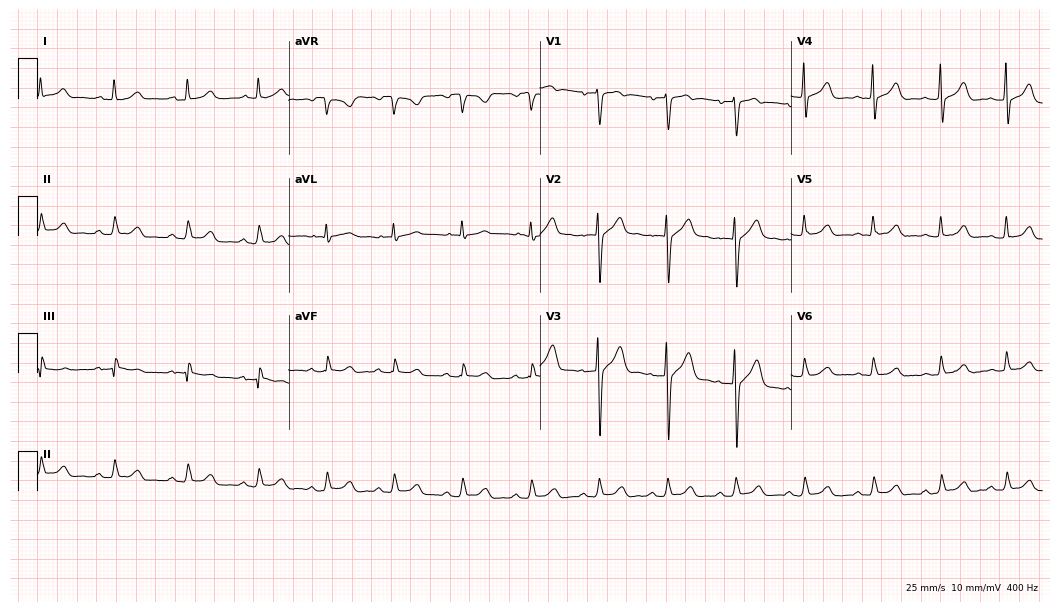
Electrocardiogram, a 43-year-old man. Overall reading on record: normal ECG.